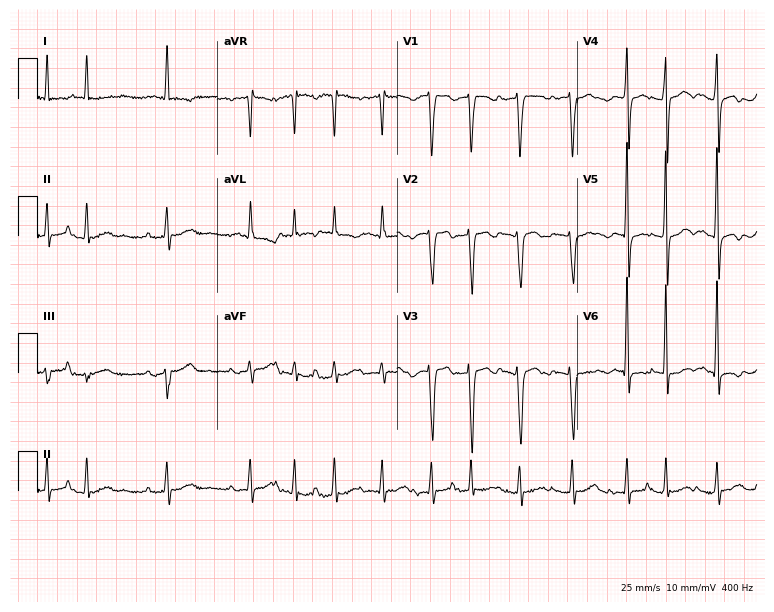
Electrocardiogram, a female, 71 years old. Of the six screened findings (first-degree AV block, right bundle branch block, left bundle branch block, sinus bradycardia, atrial fibrillation, sinus tachycardia), none is recorded.